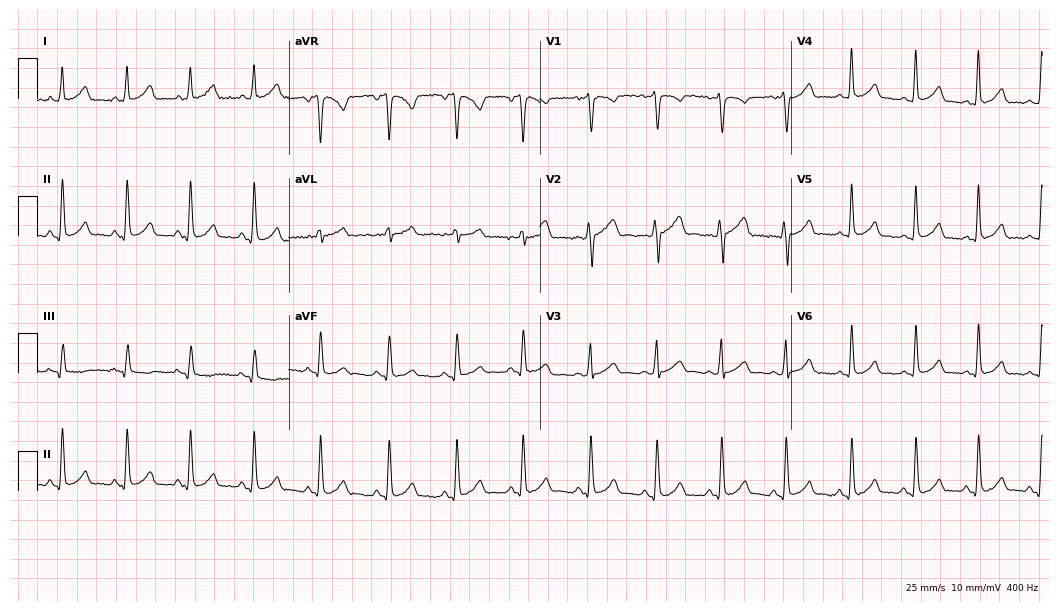
Resting 12-lead electrocardiogram. Patient: a 30-year-old woman. Read as a normal ECG.